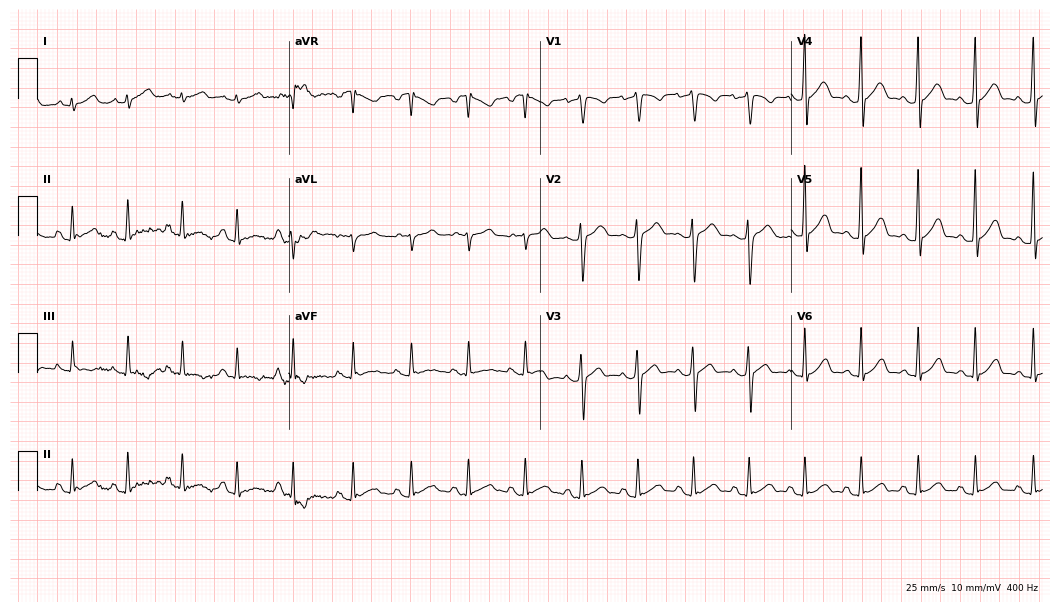
Standard 12-lead ECG recorded from a man, 43 years old. The tracing shows sinus tachycardia (a sinus rate of 100 beats per minute or more).